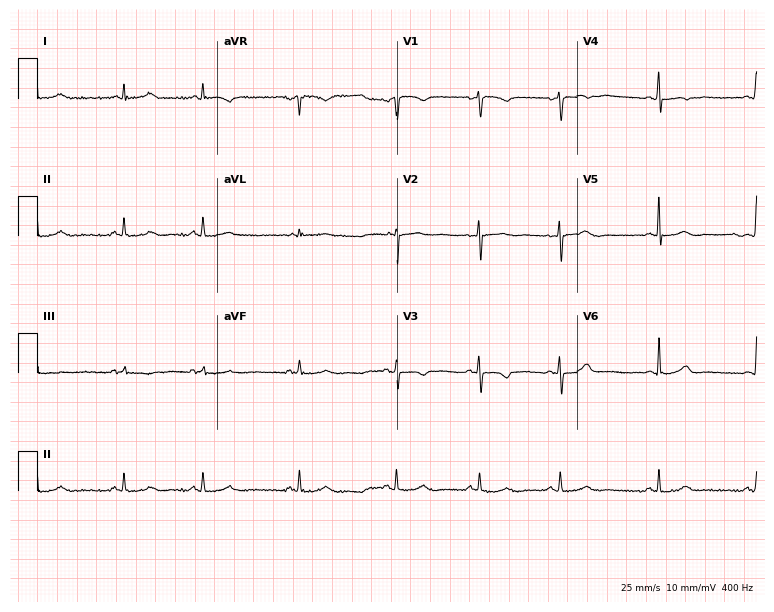
Resting 12-lead electrocardiogram (7.3-second recording at 400 Hz). Patient: a female, 25 years old. None of these six findings is recorded: first-degree AV block, right bundle branch block, left bundle branch block, sinus bradycardia, atrial fibrillation, sinus tachycardia.